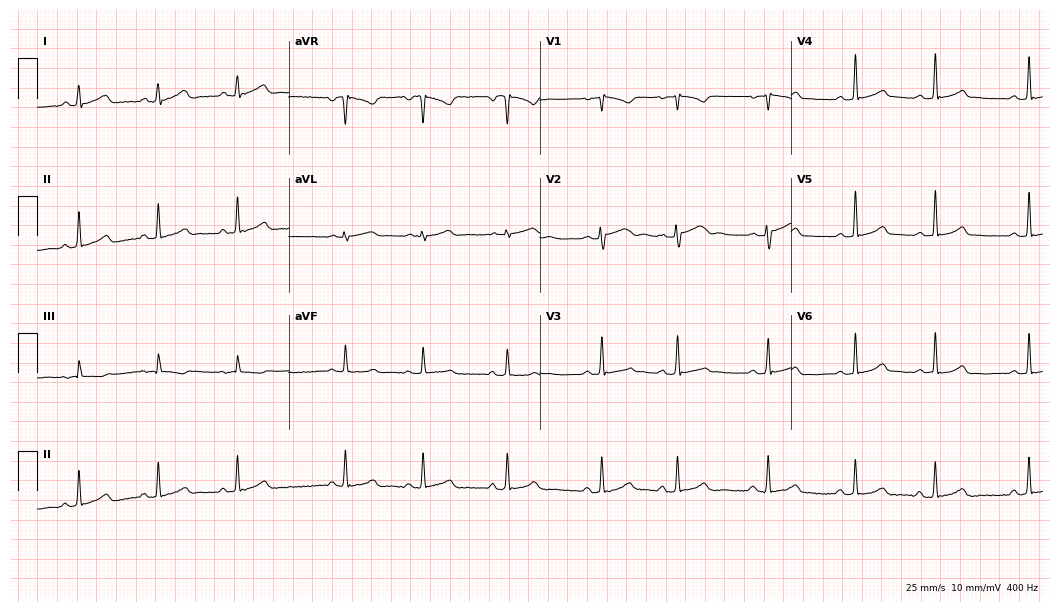
Electrocardiogram, a 21-year-old female patient. Of the six screened findings (first-degree AV block, right bundle branch block, left bundle branch block, sinus bradycardia, atrial fibrillation, sinus tachycardia), none is recorded. Findings outside these six are not listed.